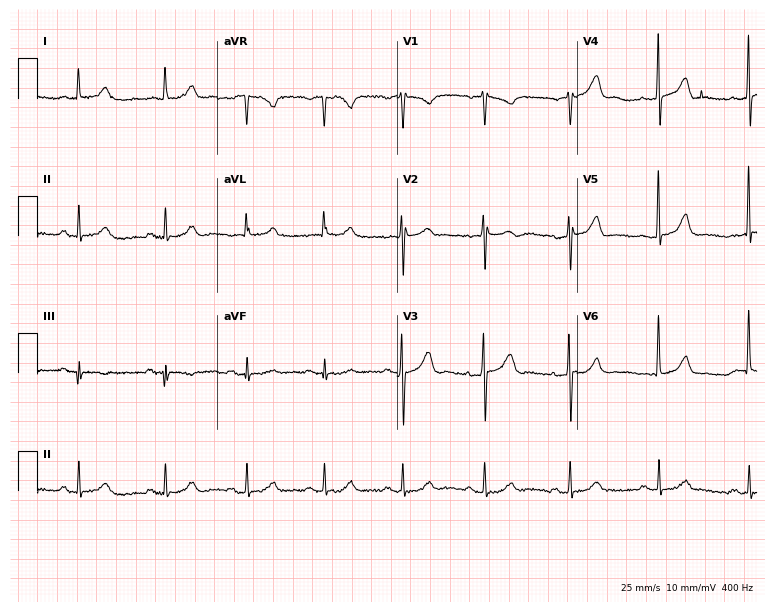
12-lead ECG from a man, 67 years old. Recorded interpretation: within normal limits.